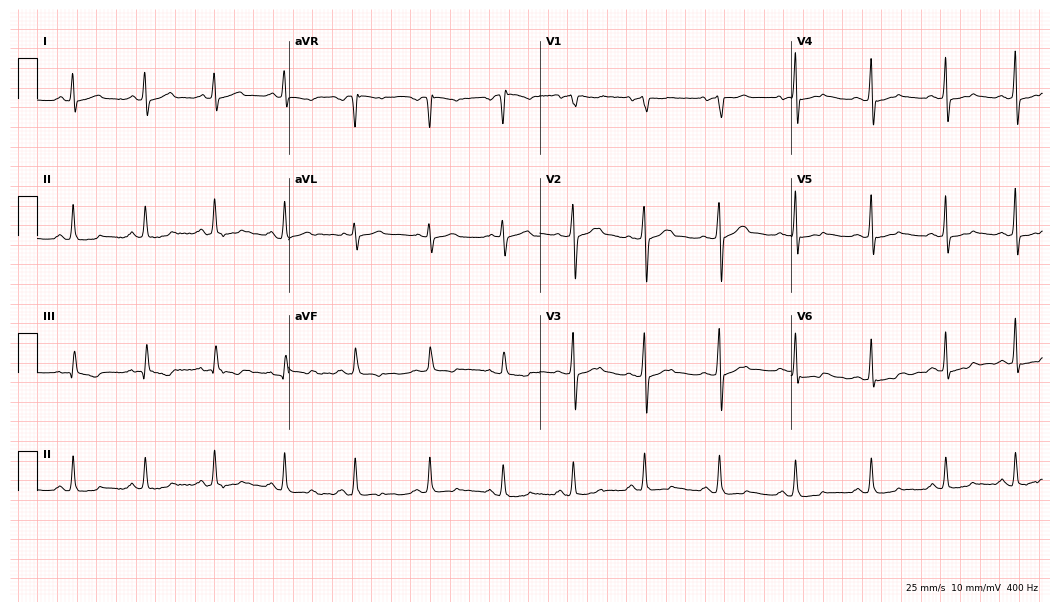
Standard 12-lead ECG recorded from a 31-year-old man (10.2-second recording at 400 Hz). None of these six findings is recorded: first-degree AV block, right bundle branch block, left bundle branch block, sinus bradycardia, atrial fibrillation, sinus tachycardia. Other findings, if any, are not listed.